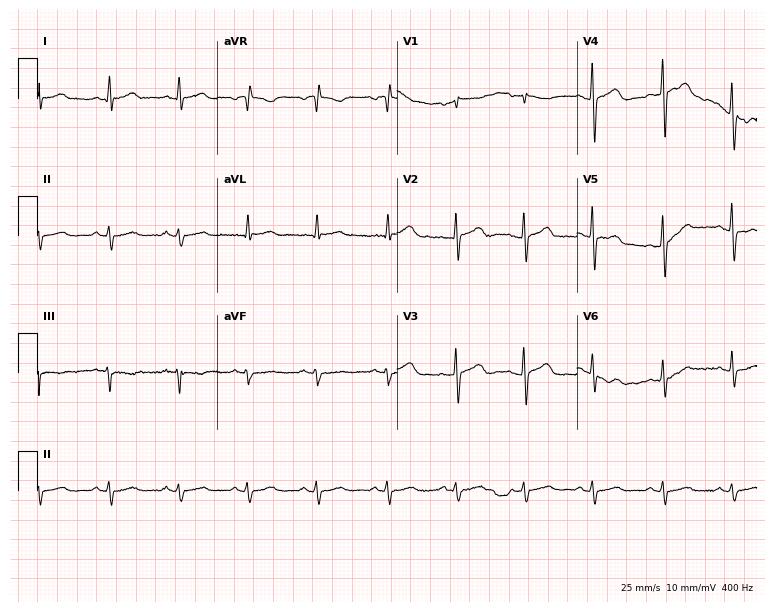
Electrocardiogram, a male, 51 years old. Of the six screened findings (first-degree AV block, right bundle branch block, left bundle branch block, sinus bradycardia, atrial fibrillation, sinus tachycardia), none is recorded. Other findings, if any, are not listed.